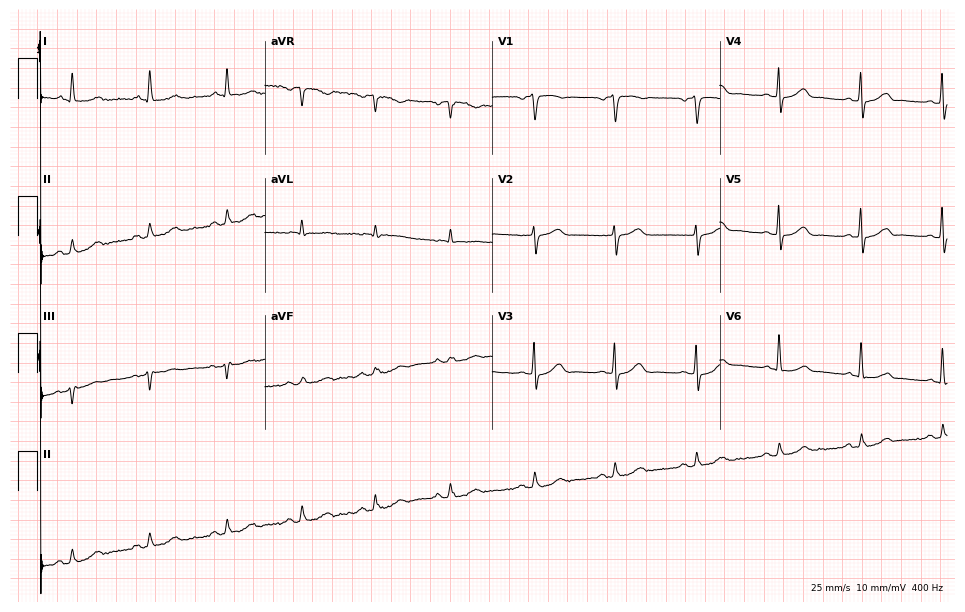
12-lead ECG from a man, 75 years old (9.3-second recording at 400 Hz). Recorded interpretation: within normal limits.